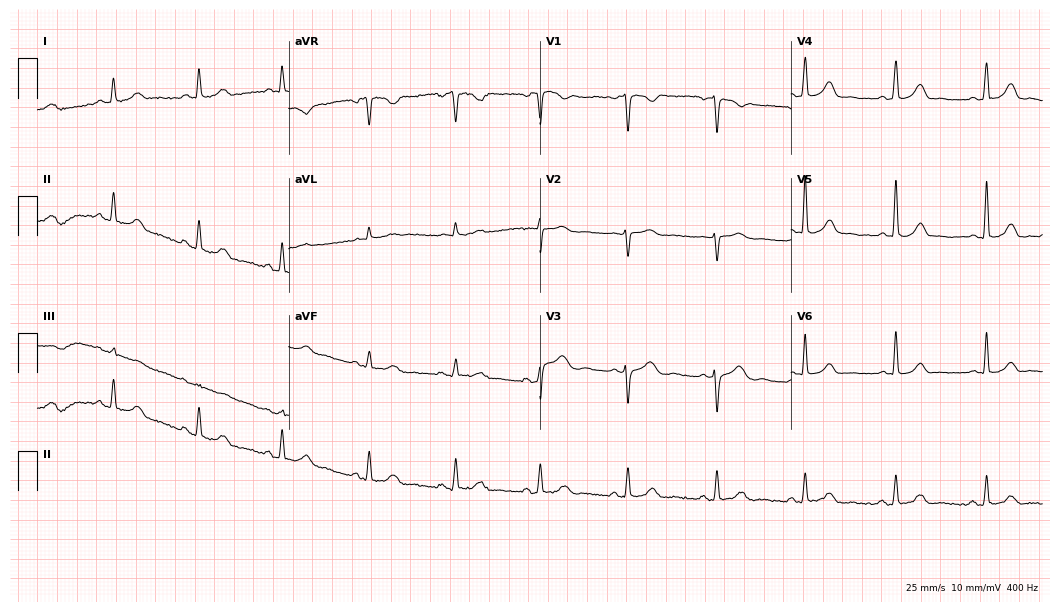
Standard 12-lead ECG recorded from a 46-year-old female patient. Read as a normal ECG.